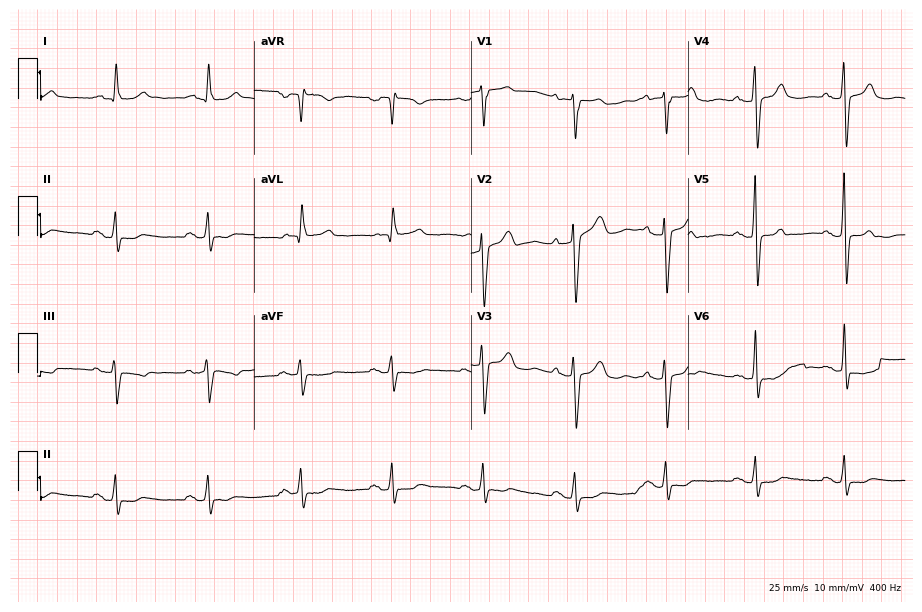
12-lead ECG from an 85-year-old female. No first-degree AV block, right bundle branch block (RBBB), left bundle branch block (LBBB), sinus bradycardia, atrial fibrillation (AF) or sinus tachycardia recorded for this tracing. Only these six findings were labelled.